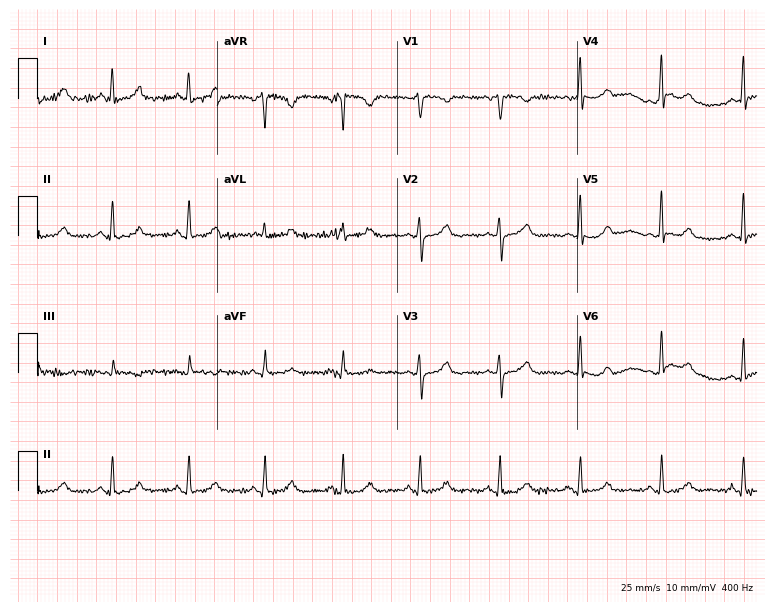
Standard 12-lead ECG recorded from a 51-year-old female patient (7.3-second recording at 400 Hz). None of these six findings is recorded: first-degree AV block, right bundle branch block, left bundle branch block, sinus bradycardia, atrial fibrillation, sinus tachycardia.